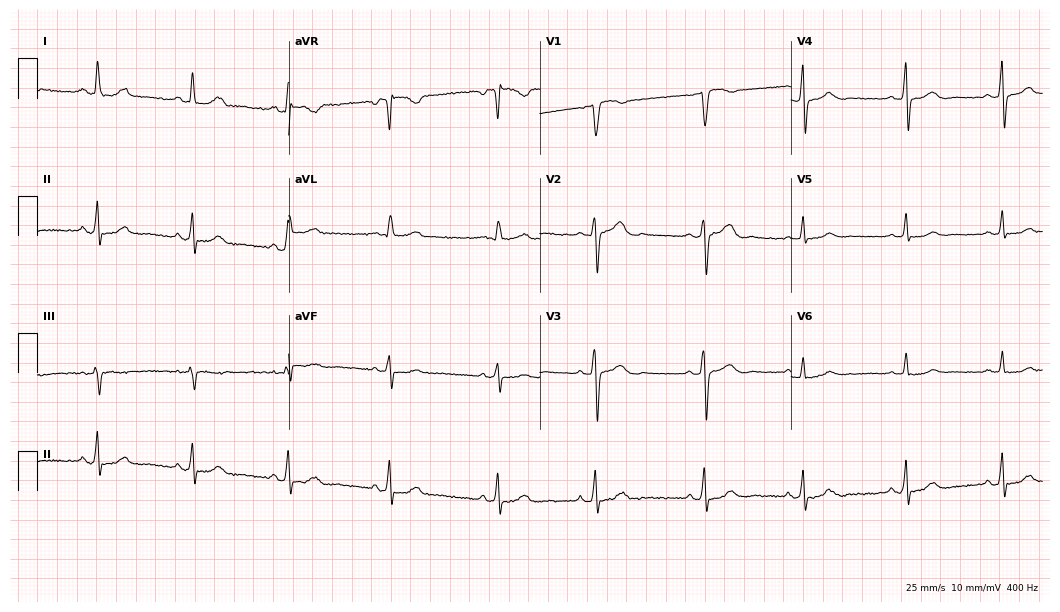
12-lead ECG from a female, 37 years old. Labelled as a normal ECG.